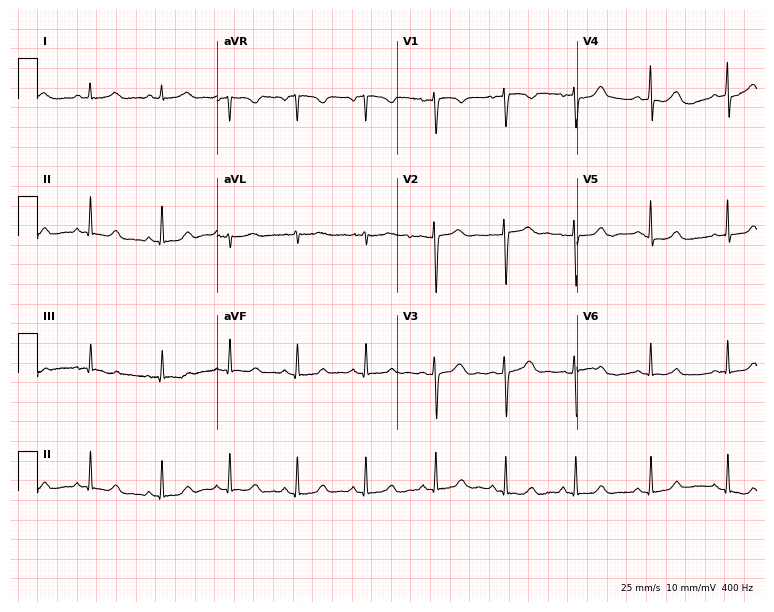
Electrocardiogram, a 41-year-old female. Of the six screened findings (first-degree AV block, right bundle branch block (RBBB), left bundle branch block (LBBB), sinus bradycardia, atrial fibrillation (AF), sinus tachycardia), none is recorded.